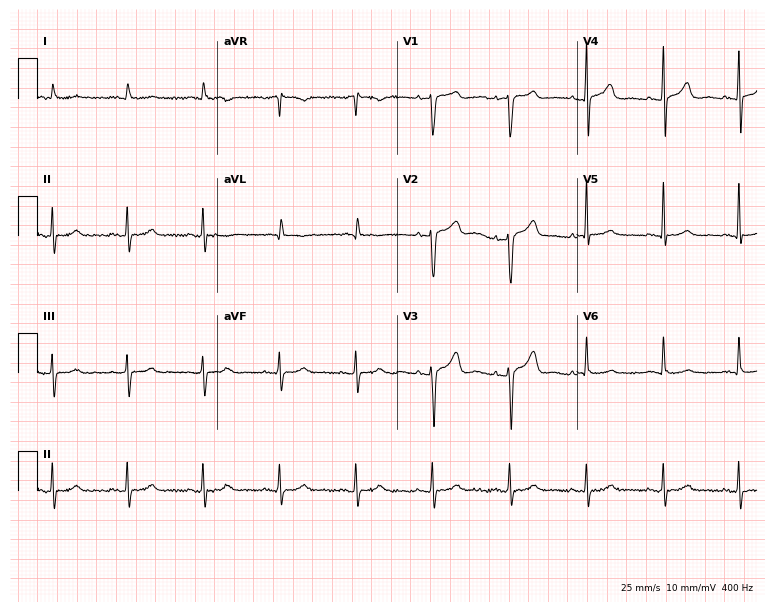
12-lead ECG from a male, 75 years old (7.3-second recording at 400 Hz). Recorded interpretation: within normal limits.